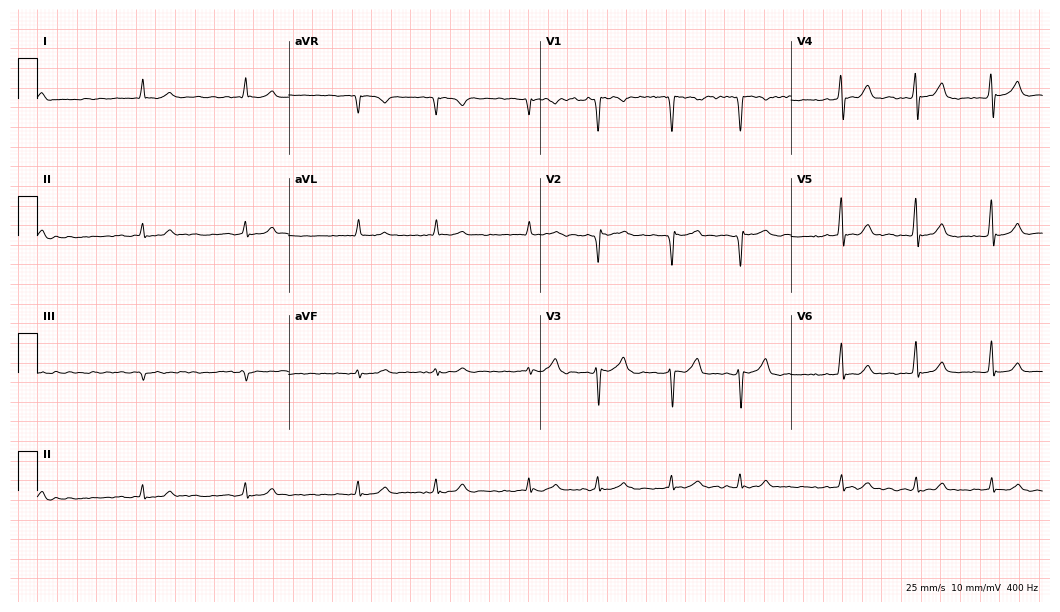
Standard 12-lead ECG recorded from a man, 60 years old (10.2-second recording at 400 Hz). The tracing shows atrial fibrillation.